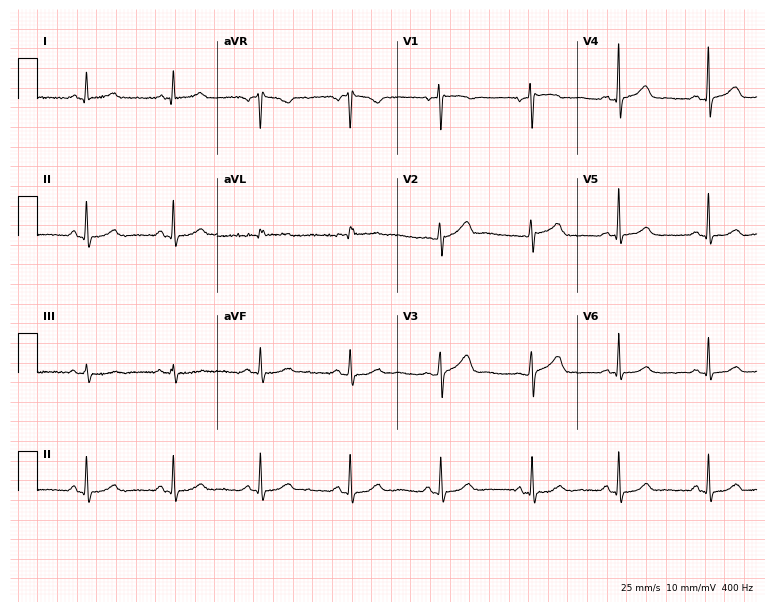
Standard 12-lead ECG recorded from a female, 52 years old. None of these six findings is recorded: first-degree AV block, right bundle branch block, left bundle branch block, sinus bradycardia, atrial fibrillation, sinus tachycardia.